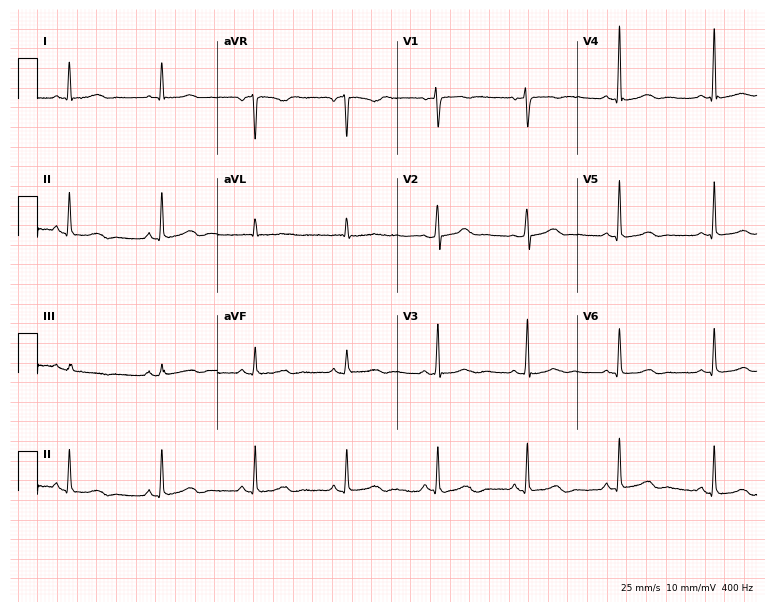
Resting 12-lead electrocardiogram. Patient: a female, 62 years old. Read as a normal ECG.